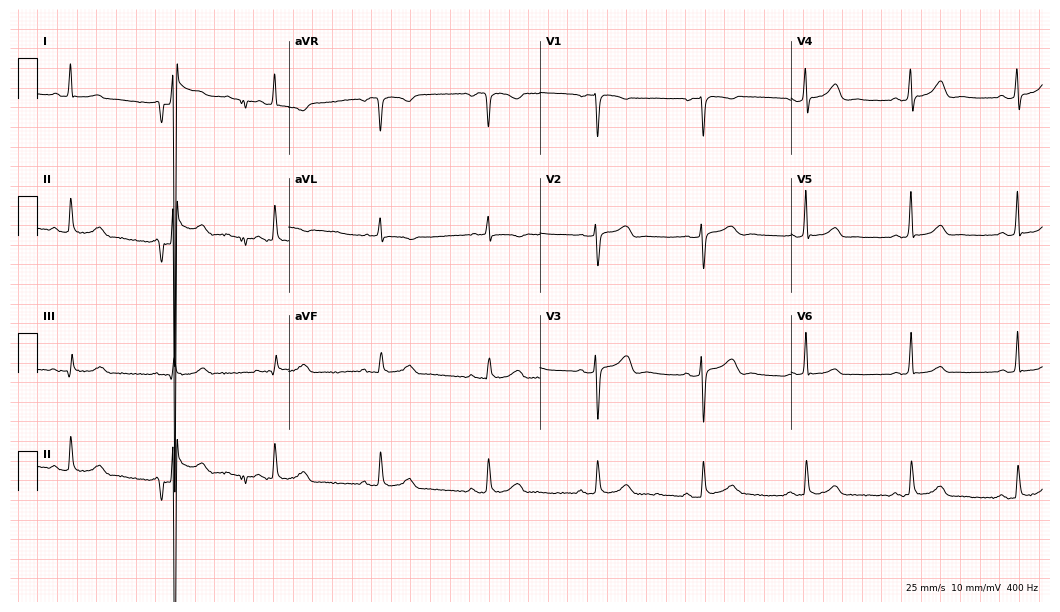
Resting 12-lead electrocardiogram (10.2-second recording at 400 Hz). Patient: a 70-year-old female. Read as a normal ECG.